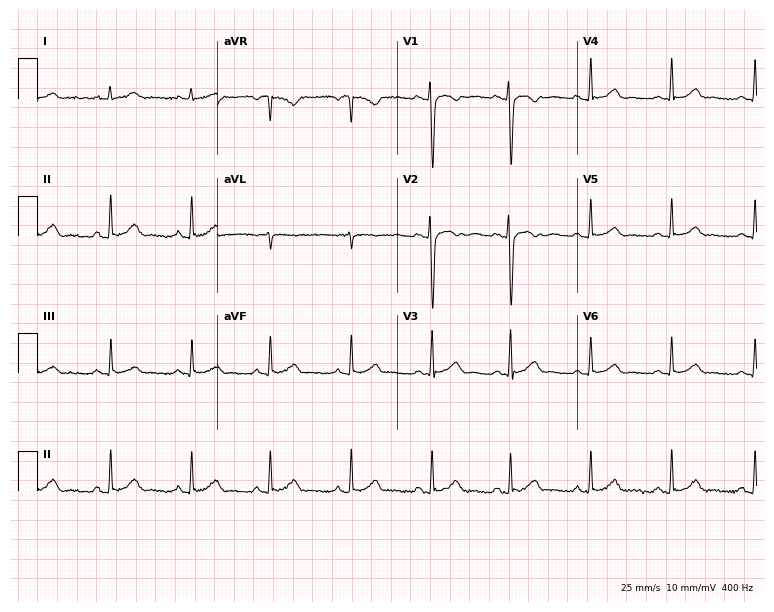
ECG (7.3-second recording at 400 Hz) — an 18-year-old woman. Labelled as a normal ECG.